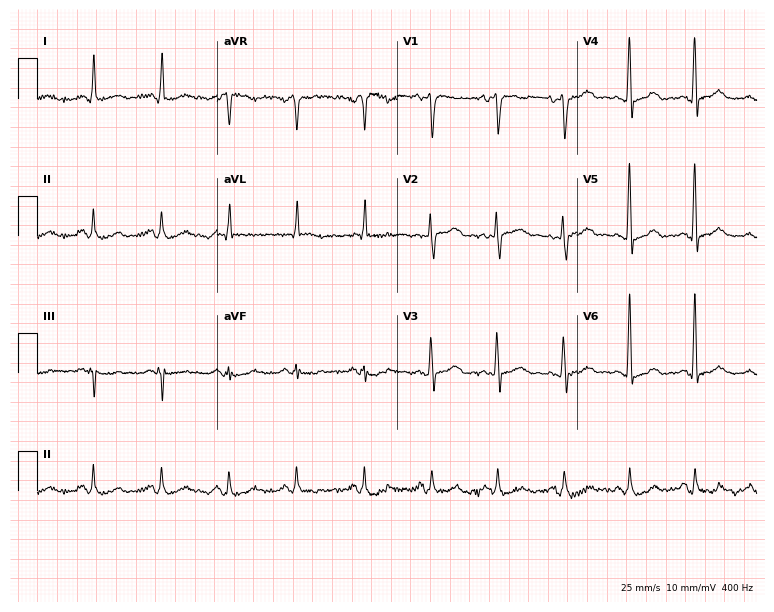
ECG — a 48-year-old female patient. Screened for six findings — first-degree AV block, right bundle branch block, left bundle branch block, sinus bradycardia, atrial fibrillation, sinus tachycardia — none is recorded.